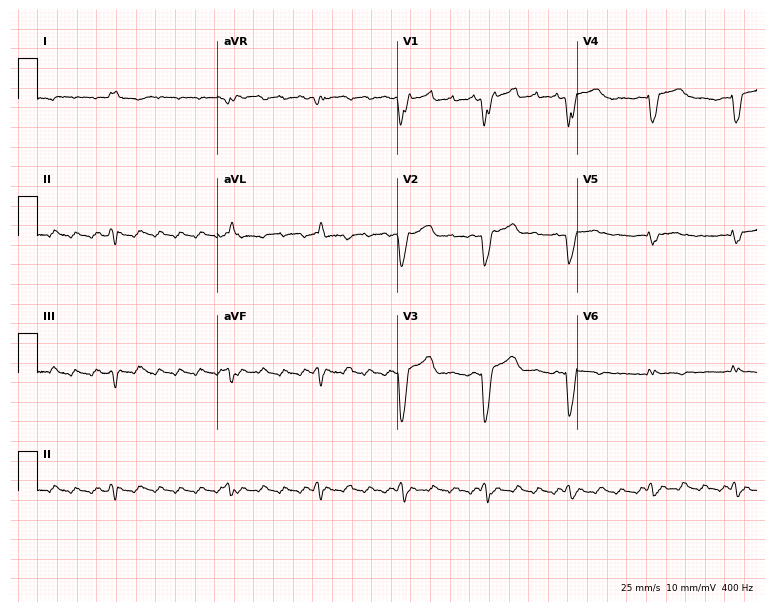
Electrocardiogram, a male patient, 82 years old. Interpretation includes left bundle branch block (LBBB).